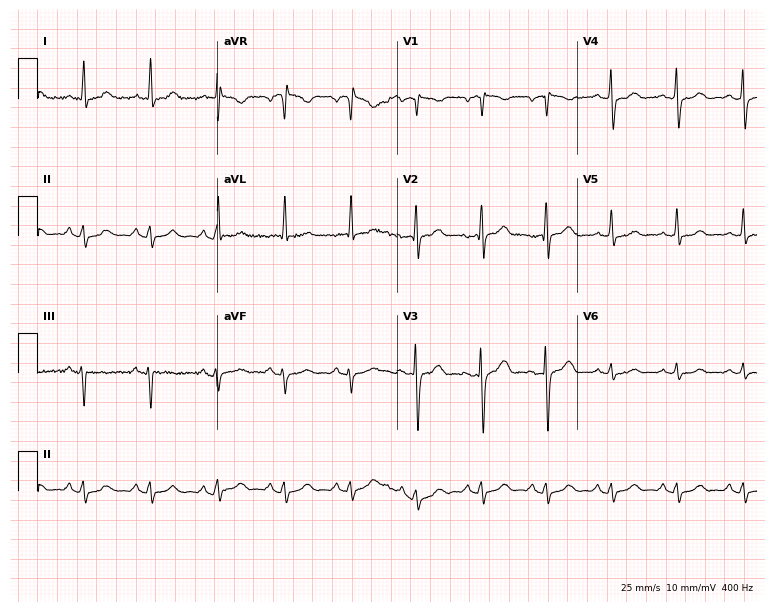
Electrocardiogram, a 58-year-old male. Of the six screened findings (first-degree AV block, right bundle branch block, left bundle branch block, sinus bradycardia, atrial fibrillation, sinus tachycardia), none is recorded.